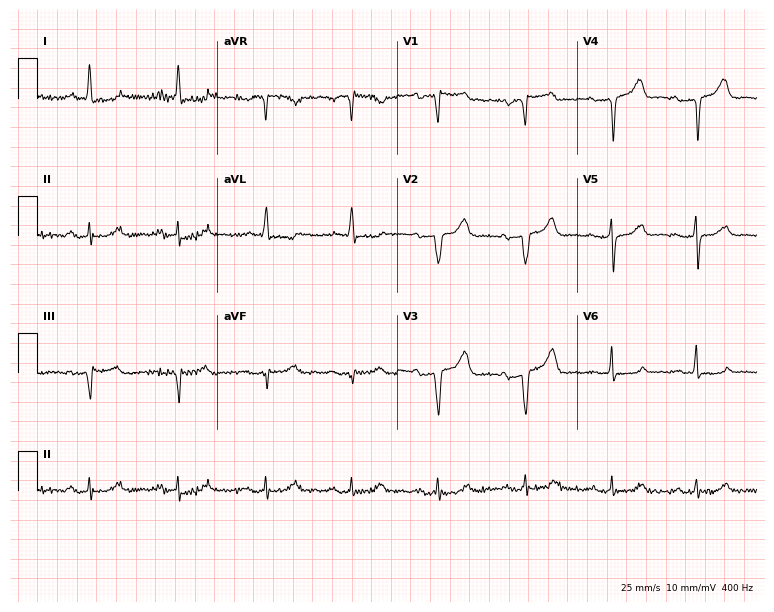
ECG (7.3-second recording at 400 Hz) — a female, 85 years old. Screened for six findings — first-degree AV block, right bundle branch block (RBBB), left bundle branch block (LBBB), sinus bradycardia, atrial fibrillation (AF), sinus tachycardia — none is recorded. Findings outside these six are not listed.